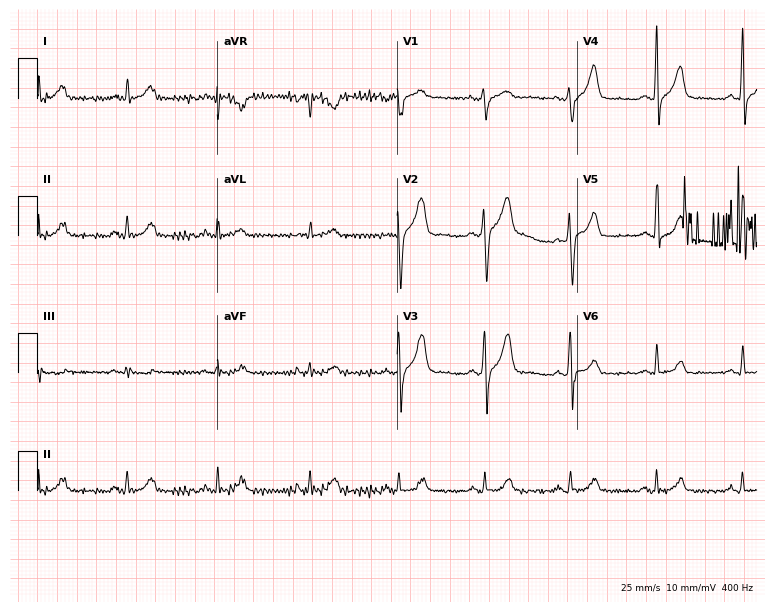
Electrocardiogram (7.3-second recording at 400 Hz), a 48-year-old male. Overall reading on record: normal ECG.